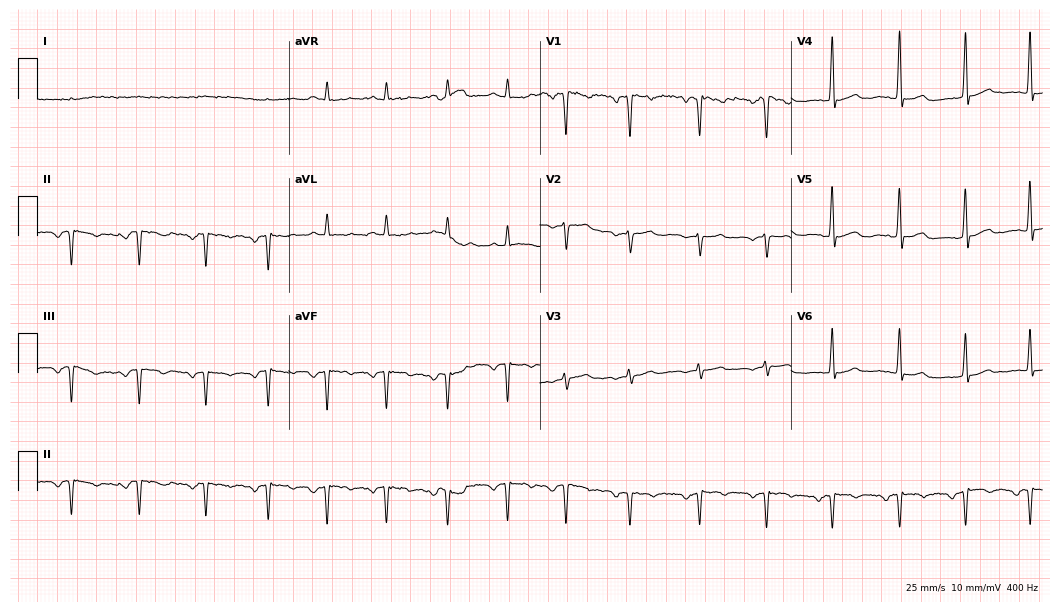
ECG (10.2-second recording at 400 Hz) — a woman, 22 years old. Screened for six findings — first-degree AV block, right bundle branch block, left bundle branch block, sinus bradycardia, atrial fibrillation, sinus tachycardia — none is recorded. Other findings, if any, are not listed.